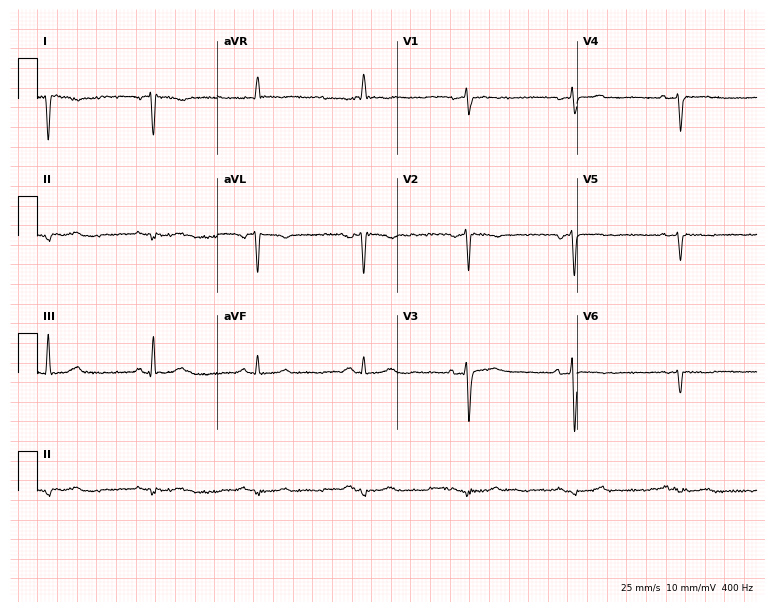
12-lead ECG from a man, 63 years old (7.3-second recording at 400 Hz). No first-degree AV block, right bundle branch block, left bundle branch block, sinus bradycardia, atrial fibrillation or sinus tachycardia recorded for this tracing. Only these six findings were labelled.